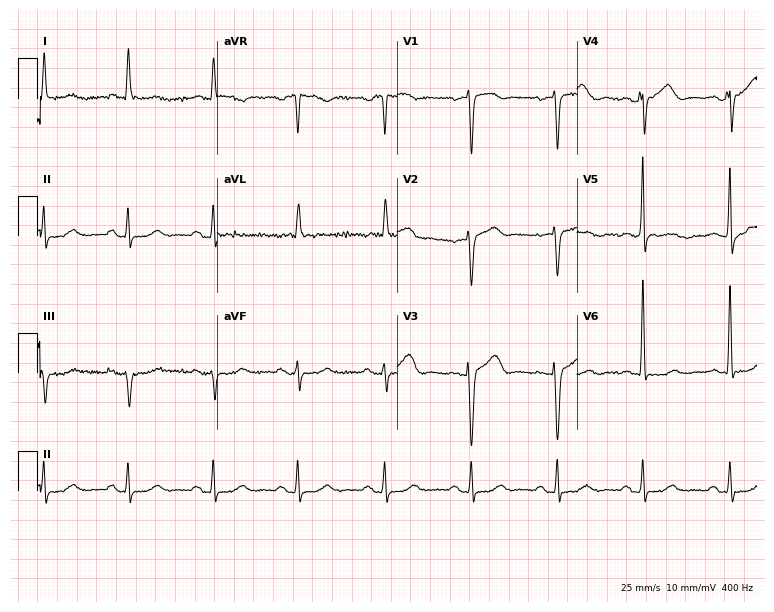
Standard 12-lead ECG recorded from a 54-year-old female patient (7.3-second recording at 400 Hz). Read as a normal ECG.